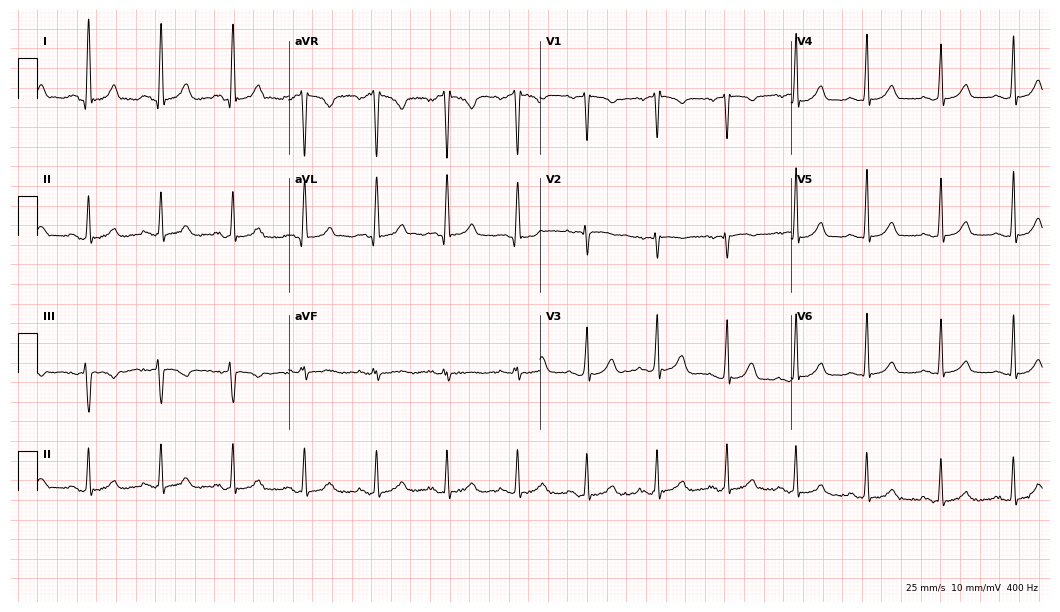
ECG (10.2-second recording at 400 Hz) — a 20-year-old woman. Labelled as a normal ECG.